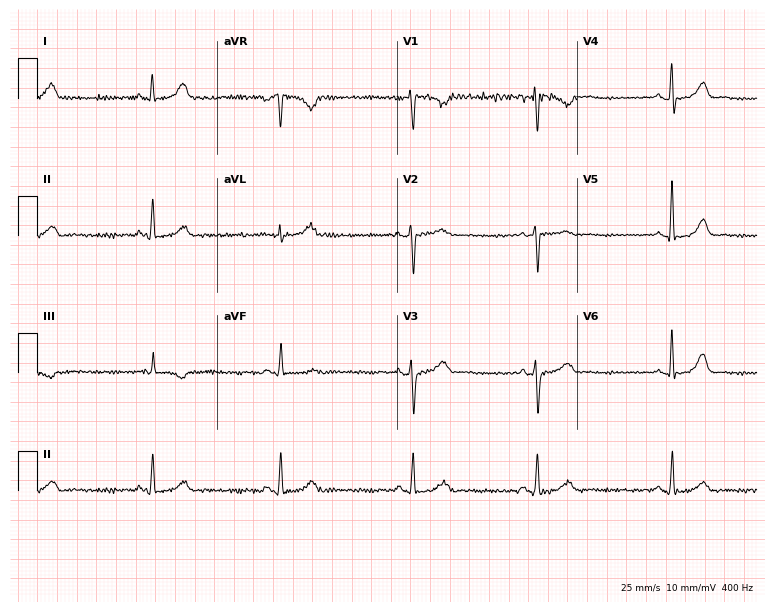
ECG (7.3-second recording at 400 Hz) — a woman, 43 years old. Screened for six findings — first-degree AV block, right bundle branch block, left bundle branch block, sinus bradycardia, atrial fibrillation, sinus tachycardia — none is recorded.